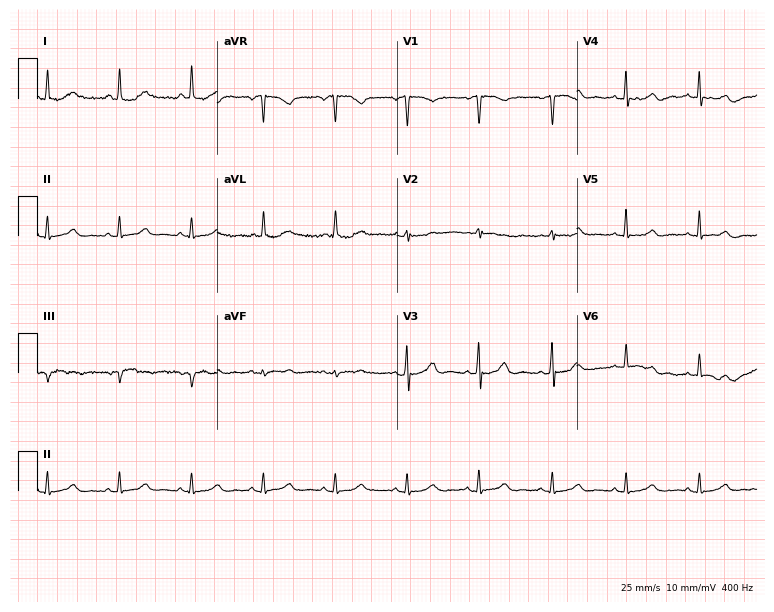
Standard 12-lead ECG recorded from a female, 49 years old. None of these six findings is recorded: first-degree AV block, right bundle branch block (RBBB), left bundle branch block (LBBB), sinus bradycardia, atrial fibrillation (AF), sinus tachycardia. Only these six findings were labelled.